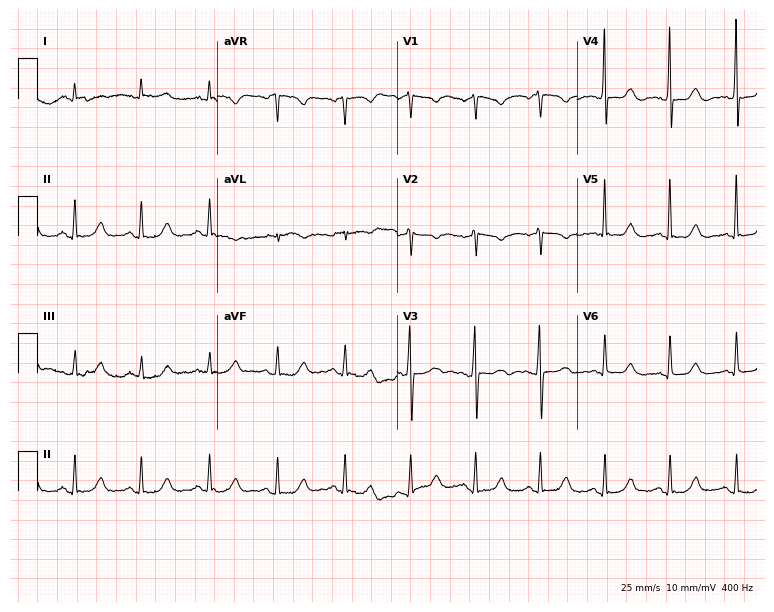
Resting 12-lead electrocardiogram. Patient: a male, 47 years old. None of these six findings is recorded: first-degree AV block, right bundle branch block (RBBB), left bundle branch block (LBBB), sinus bradycardia, atrial fibrillation (AF), sinus tachycardia.